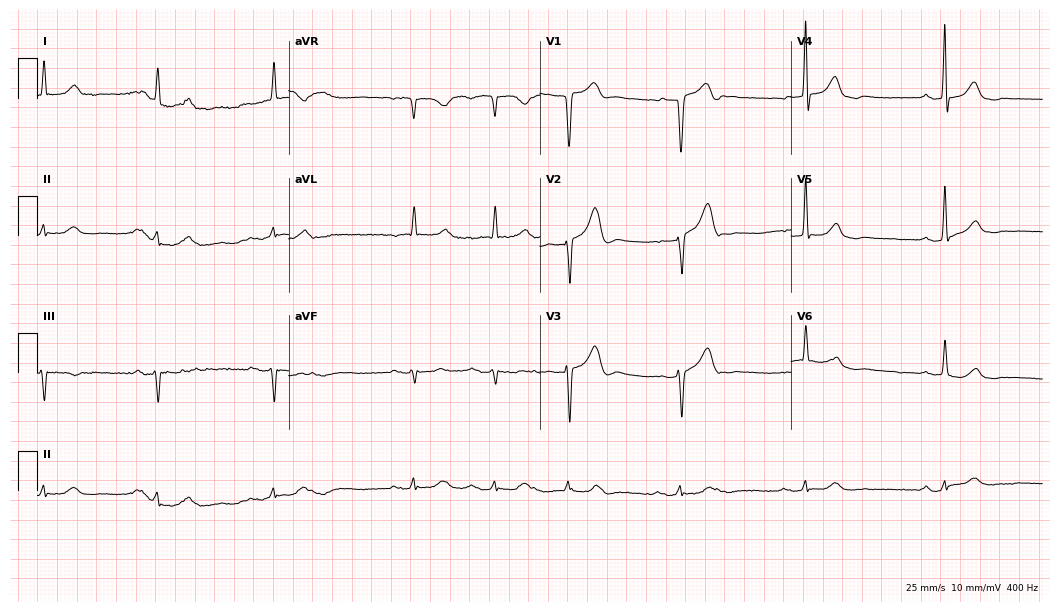
Standard 12-lead ECG recorded from a male patient, 81 years old. The tracing shows first-degree AV block.